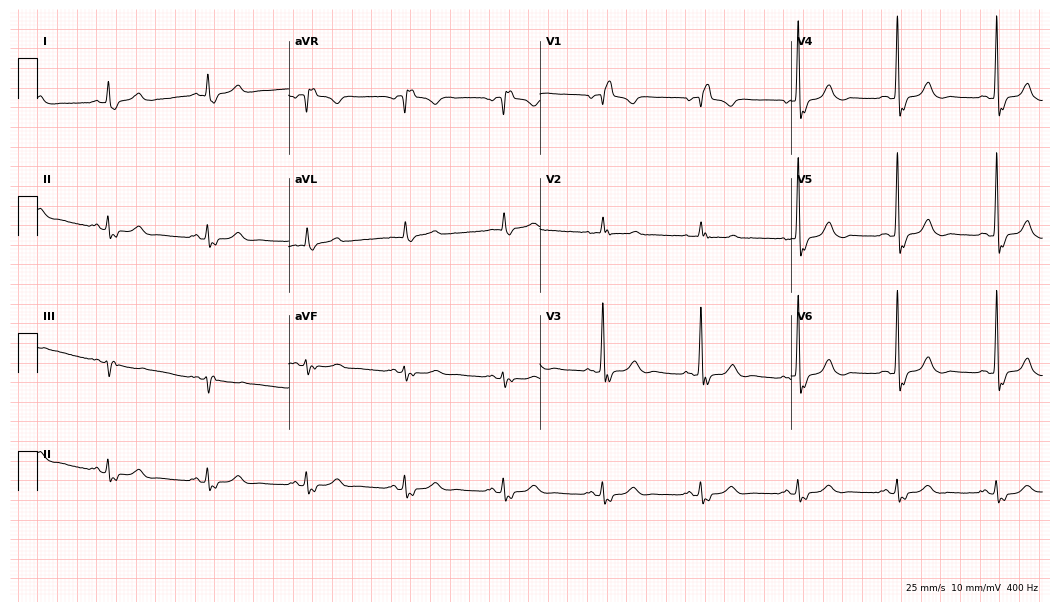
12-lead ECG from a 79-year-old man. Screened for six findings — first-degree AV block, right bundle branch block (RBBB), left bundle branch block (LBBB), sinus bradycardia, atrial fibrillation (AF), sinus tachycardia — none is recorded.